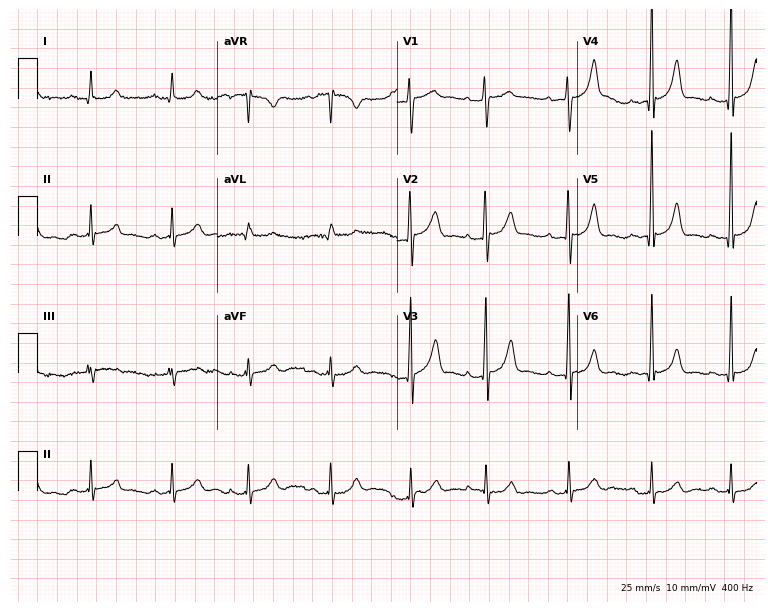
Resting 12-lead electrocardiogram. Patient: a 34-year-old man. Read as a normal ECG.